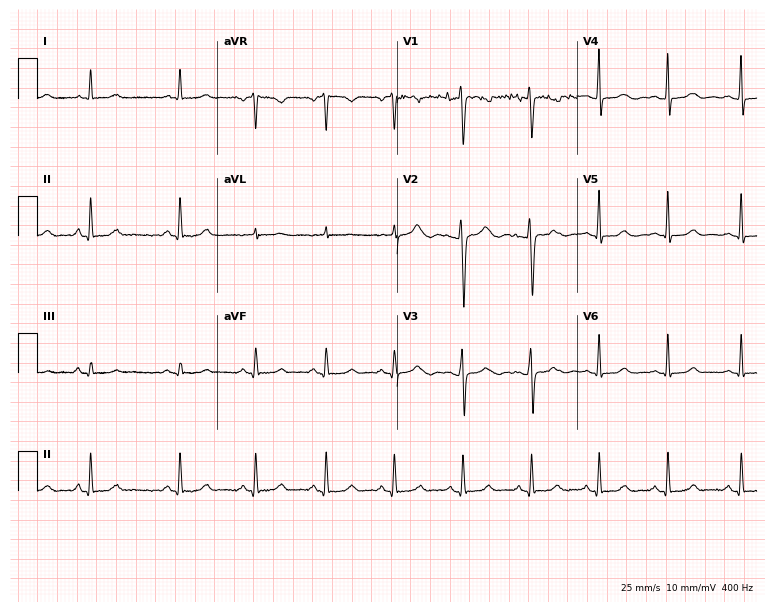
Standard 12-lead ECG recorded from a 24-year-old female patient. None of these six findings is recorded: first-degree AV block, right bundle branch block (RBBB), left bundle branch block (LBBB), sinus bradycardia, atrial fibrillation (AF), sinus tachycardia. Other findings, if any, are not listed.